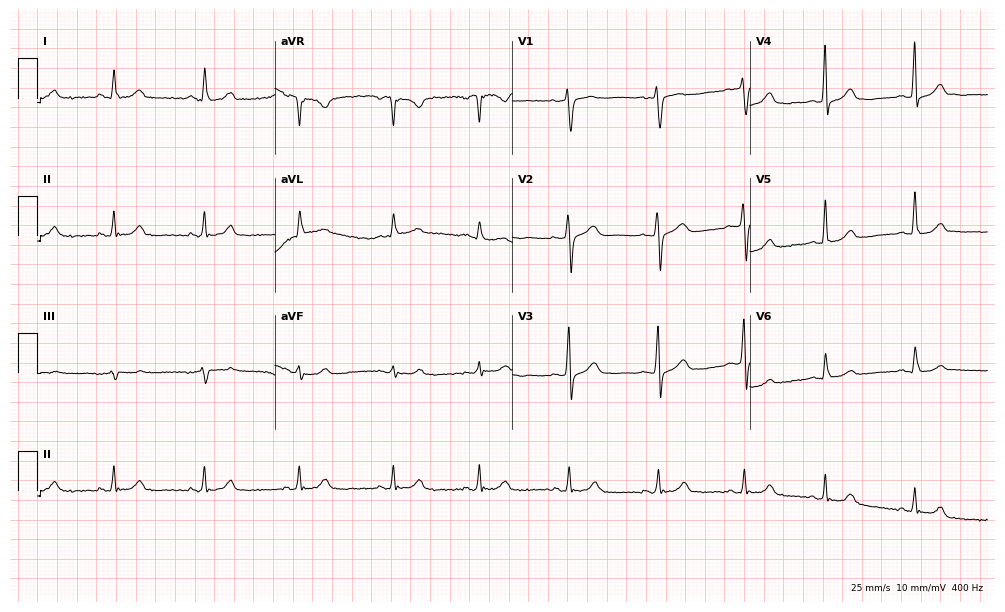
12-lead ECG from a female patient, 59 years old. Recorded interpretation: within normal limits.